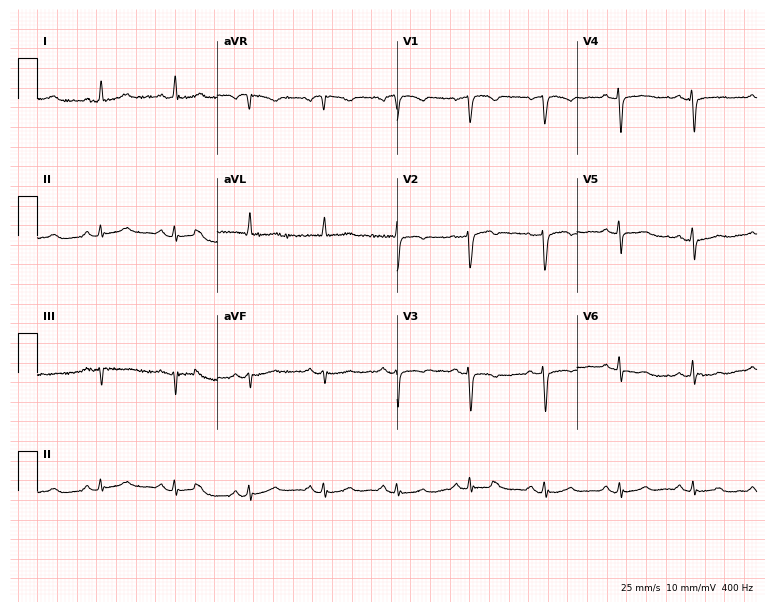
Standard 12-lead ECG recorded from a 51-year-old female. None of these six findings is recorded: first-degree AV block, right bundle branch block, left bundle branch block, sinus bradycardia, atrial fibrillation, sinus tachycardia.